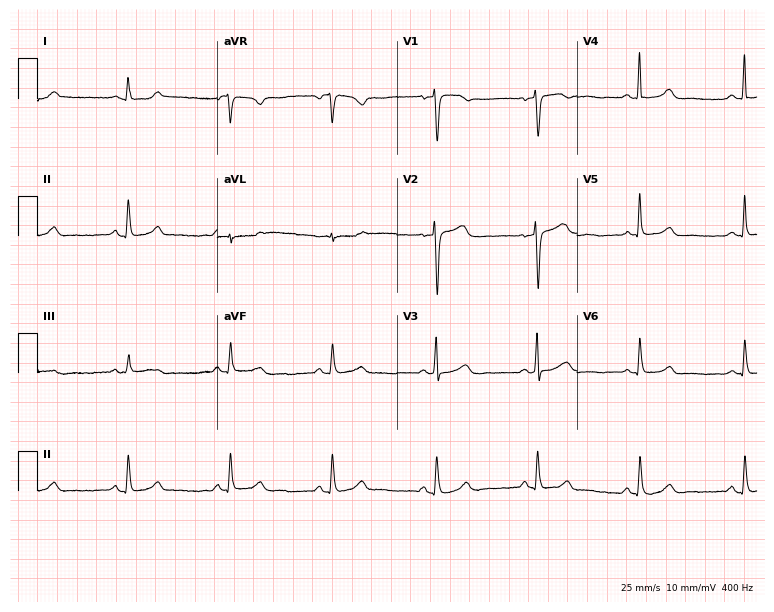
Resting 12-lead electrocardiogram. Patient: a woman, 50 years old. Read as a normal ECG.